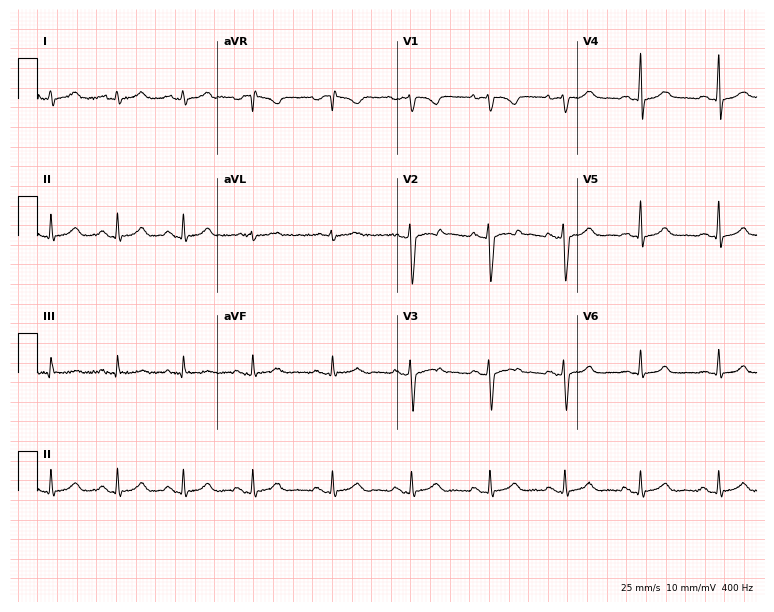
Resting 12-lead electrocardiogram (7.3-second recording at 400 Hz). Patient: a female, 22 years old. Read as a normal ECG.